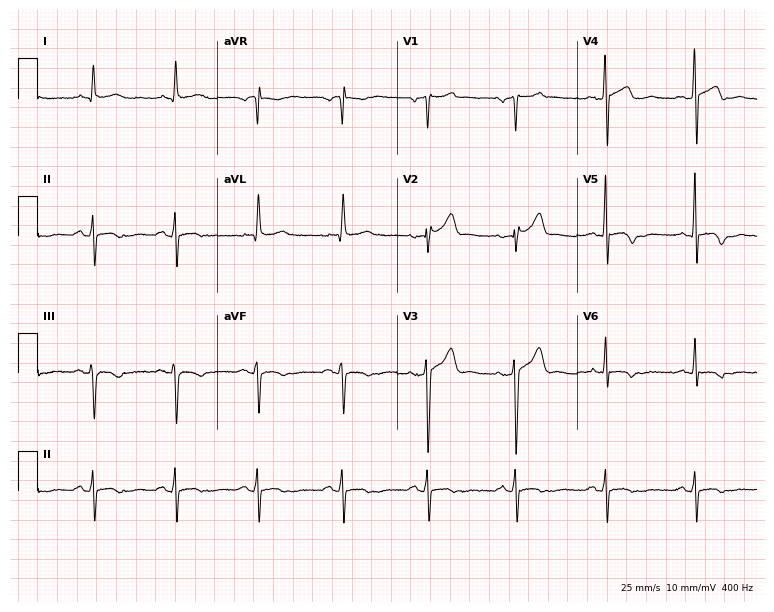
12-lead ECG (7.3-second recording at 400 Hz) from a 47-year-old man. Screened for six findings — first-degree AV block, right bundle branch block, left bundle branch block, sinus bradycardia, atrial fibrillation, sinus tachycardia — none is recorded. Other findings, if any, are not listed.